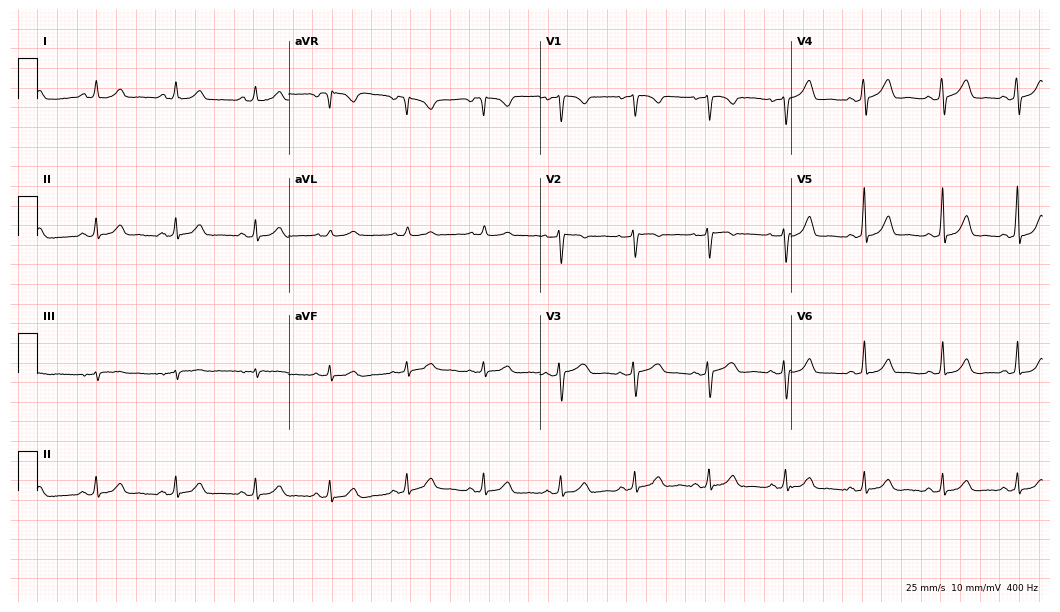
ECG (10.2-second recording at 400 Hz) — a female patient, 45 years old. Labelled as a normal ECG.